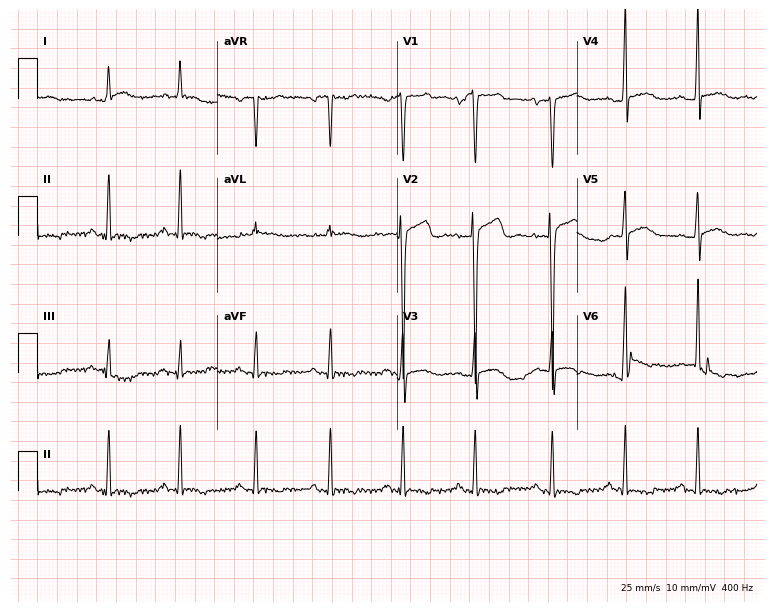
Resting 12-lead electrocardiogram (7.3-second recording at 400 Hz). Patient: a male, 66 years old. None of these six findings is recorded: first-degree AV block, right bundle branch block, left bundle branch block, sinus bradycardia, atrial fibrillation, sinus tachycardia.